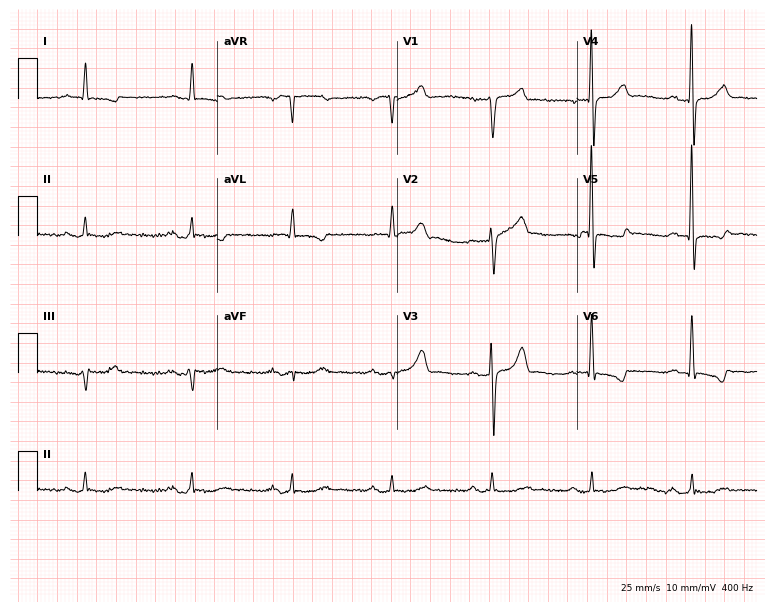
12-lead ECG from a 78-year-old male patient. Screened for six findings — first-degree AV block, right bundle branch block (RBBB), left bundle branch block (LBBB), sinus bradycardia, atrial fibrillation (AF), sinus tachycardia — none is recorded.